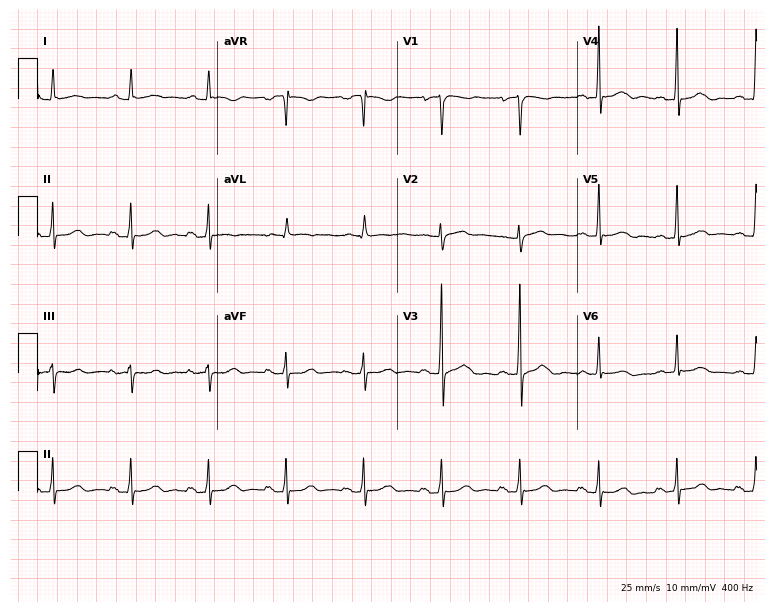
12-lead ECG from a 54-year-old male patient. Recorded interpretation: within normal limits.